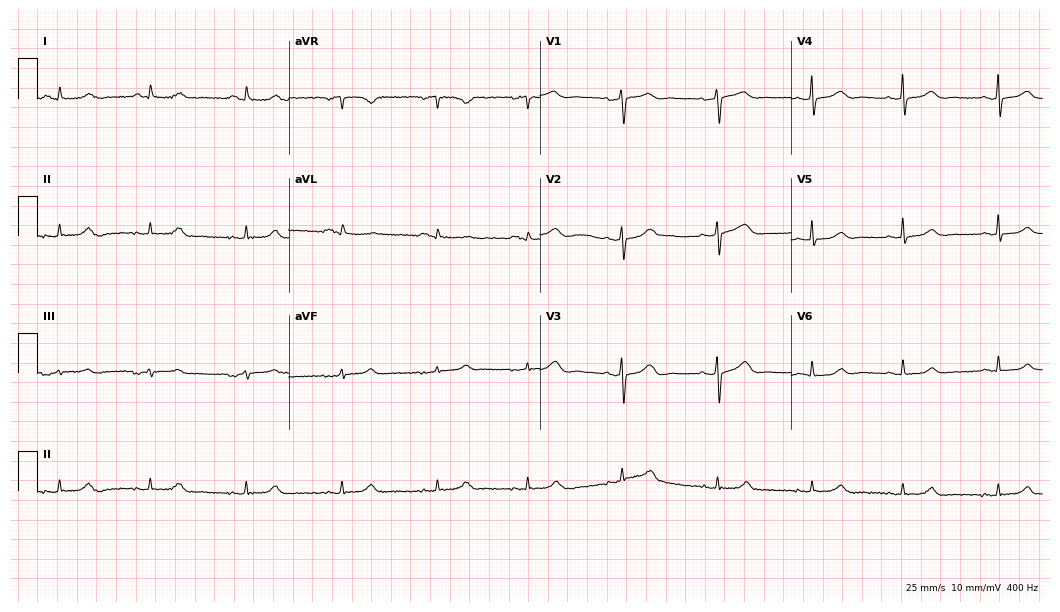
Electrocardiogram, a female patient, 65 years old. Overall reading on record: normal ECG.